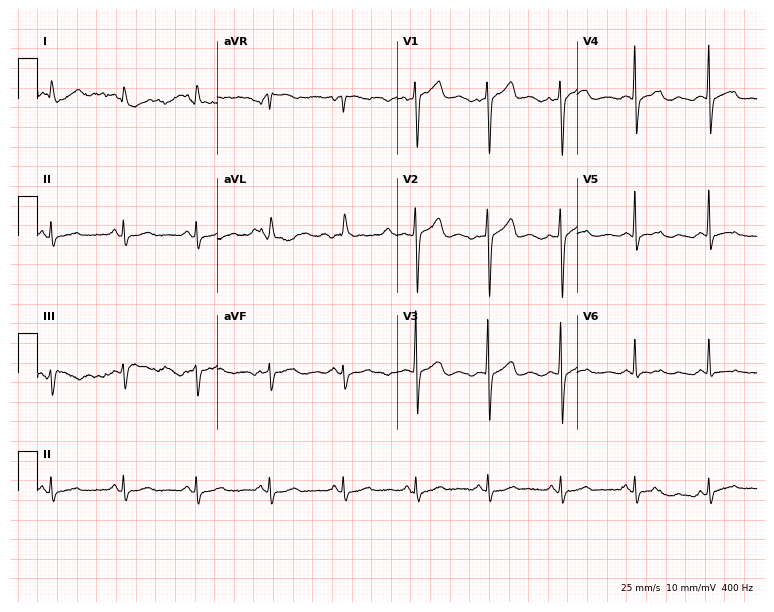
Electrocardiogram, an 81-year-old woman. Of the six screened findings (first-degree AV block, right bundle branch block, left bundle branch block, sinus bradycardia, atrial fibrillation, sinus tachycardia), none is recorded.